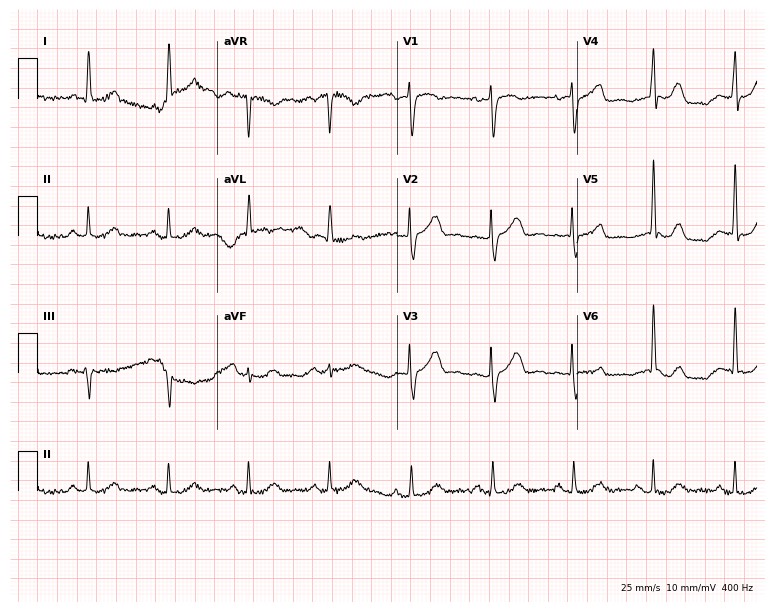
Electrocardiogram (7.3-second recording at 400 Hz), a female patient, 59 years old. Overall reading on record: normal ECG.